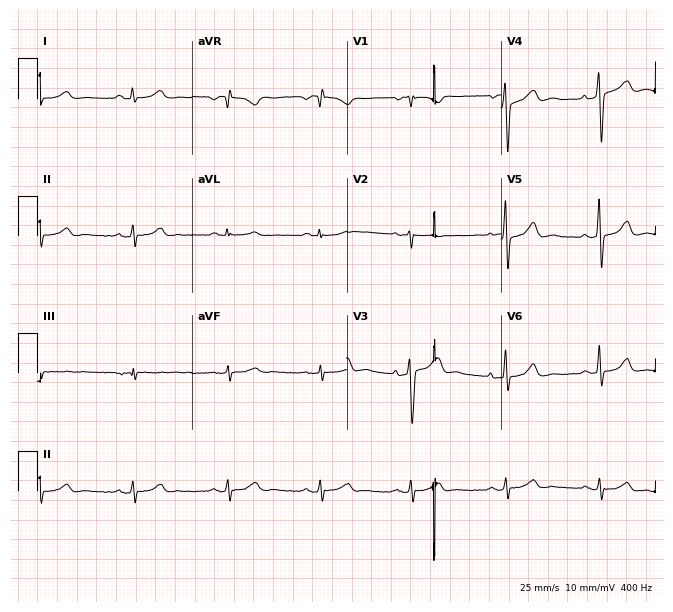
12-lead ECG from a man, 50 years old. Screened for six findings — first-degree AV block, right bundle branch block, left bundle branch block, sinus bradycardia, atrial fibrillation, sinus tachycardia — none is recorded.